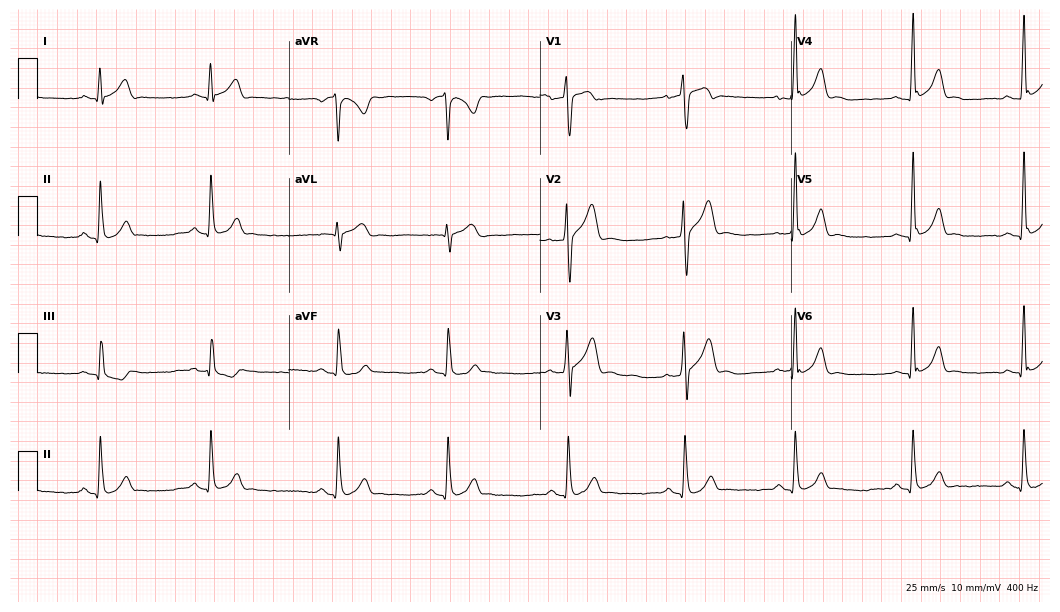
Standard 12-lead ECG recorded from a 29-year-old man. None of these six findings is recorded: first-degree AV block, right bundle branch block (RBBB), left bundle branch block (LBBB), sinus bradycardia, atrial fibrillation (AF), sinus tachycardia. Only these six findings were labelled.